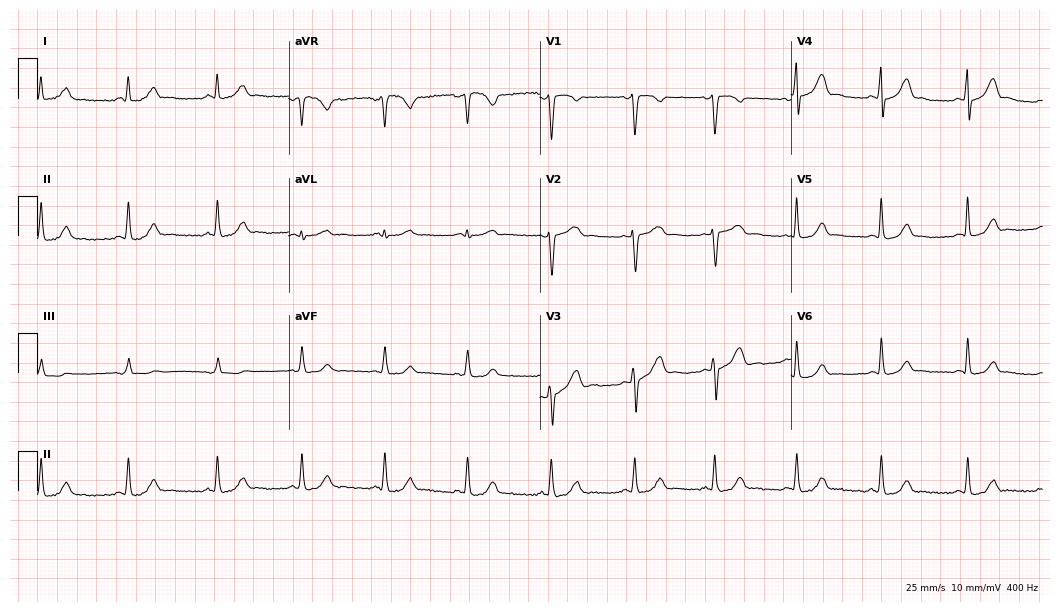
Electrocardiogram (10.2-second recording at 400 Hz), a woman, 45 years old. Overall reading on record: normal ECG.